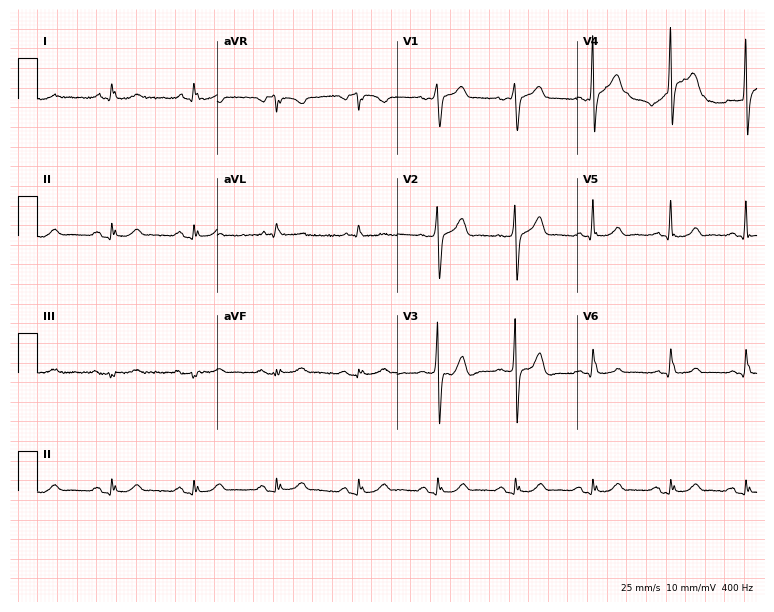
Electrocardiogram (7.3-second recording at 400 Hz), a man, 73 years old. Of the six screened findings (first-degree AV block, right bundle branch block (RBBB), left bundle branch block (LBBB), sinus bradycardia, atrial fibrillation (AF), sinus tachycardia), none is recorded. Only these six findings were labelled.